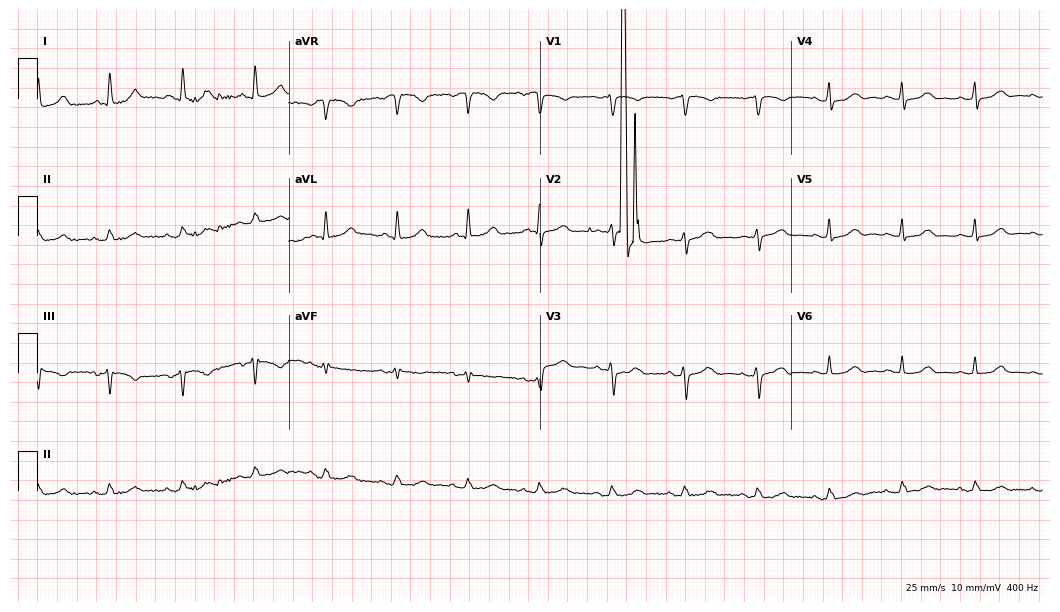
12-lead ECG from a female patient, 69 years old (10.2-second recording at 400 Hz). Recorded interpretation: within normal limits.